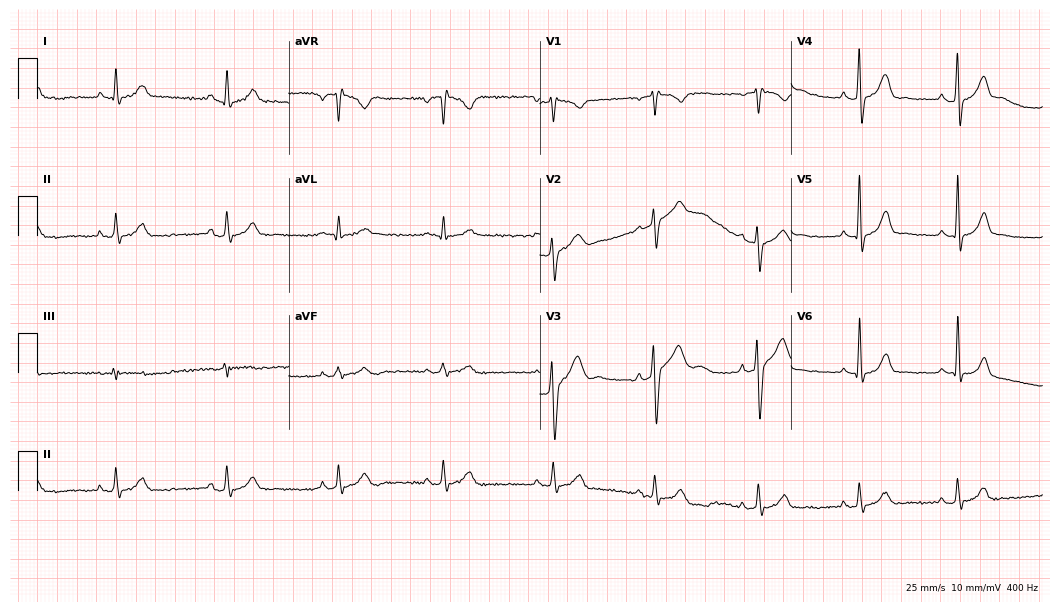
12-lead ECG (10.2-second recording at 400 Hz) from a 32-year-old male. Labelled as a normal ECG.